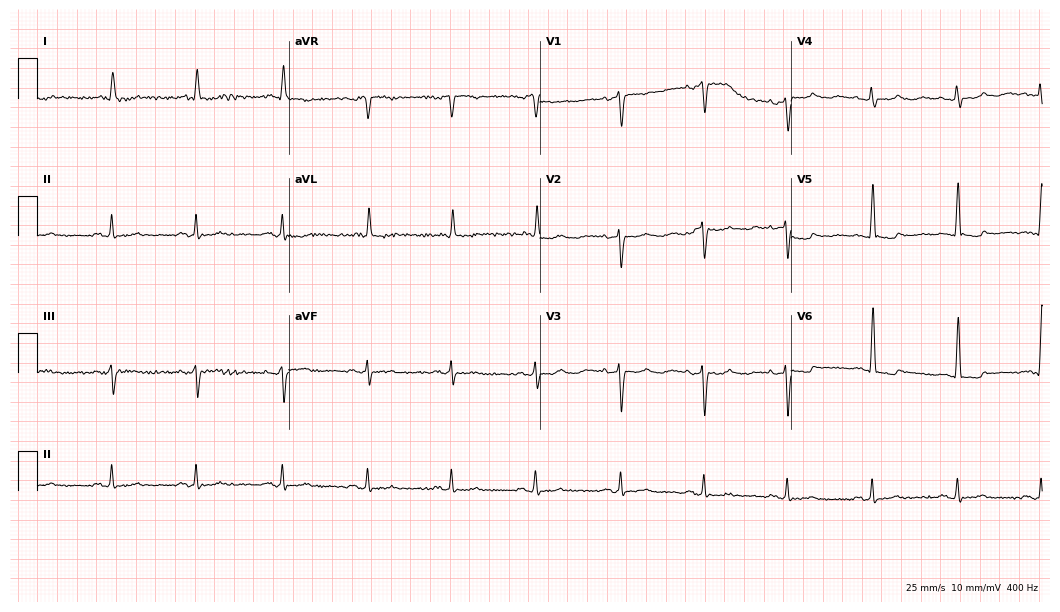
12-lead ECG from a woman, 81 years old. No first-degree AV block, right bundle branch block (RBBB), left bundle branch block (LBBB), sinus bradycardia, atrial fibrillation (AF) or sinus tachycardia recorded for this tracing.